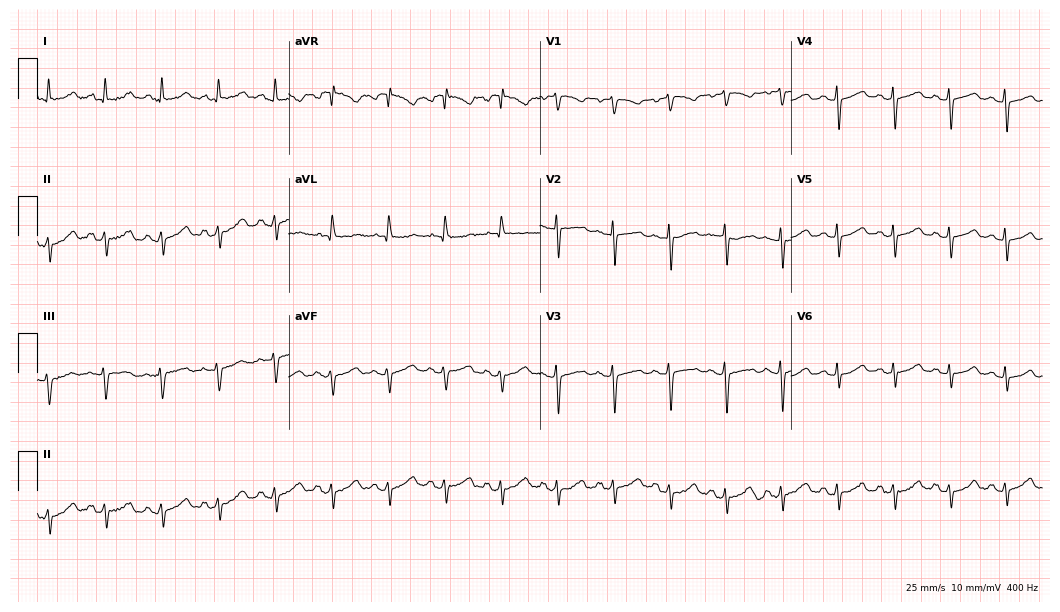
Resting 12-lead electrocardiogram (10.2-second recording at 400 Hz). Patient: a female, 77 years old. The tracing shows sinus tachycardia (a sinus rate of 100 beats per minute or more).